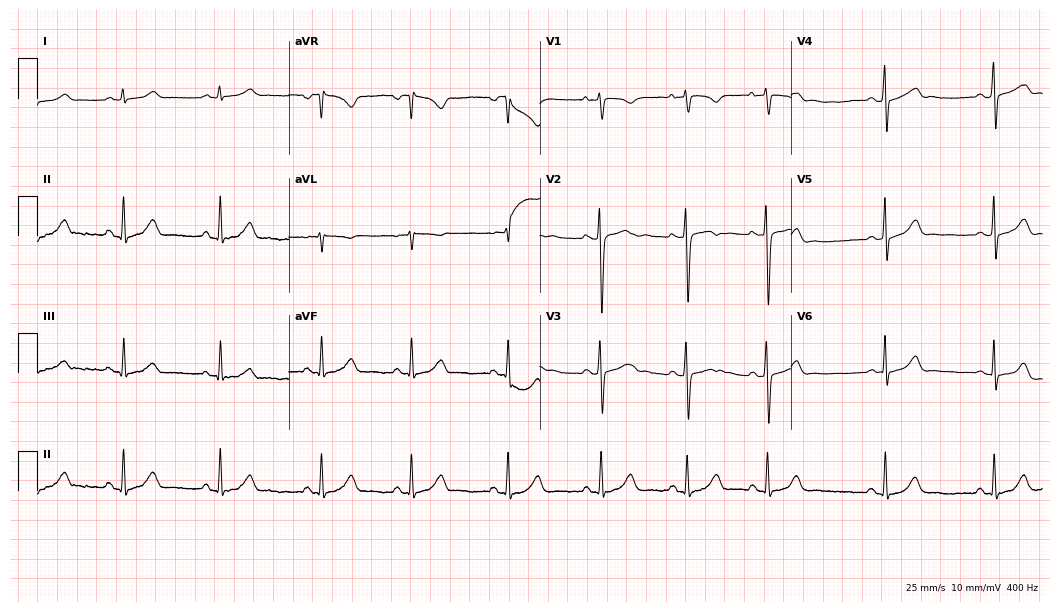
Standard 12-lead ECG recorded from a 28-year-old female. Read as a normal ECG.